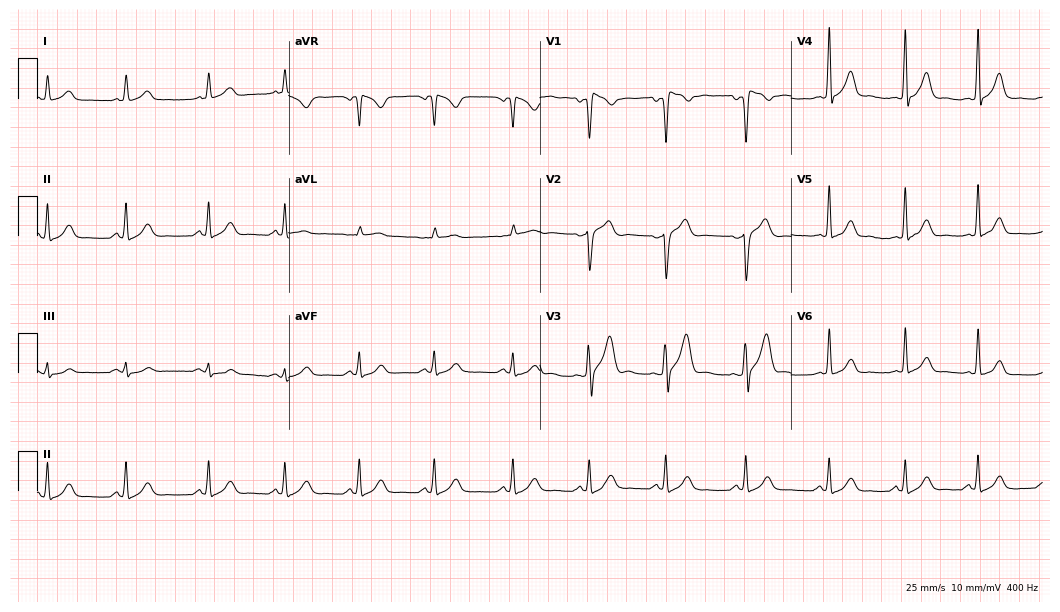
Electrocardiogram (10.2-second recording at 400 Hz), a male, 37 years old. Overall reading on record: normal ECG.